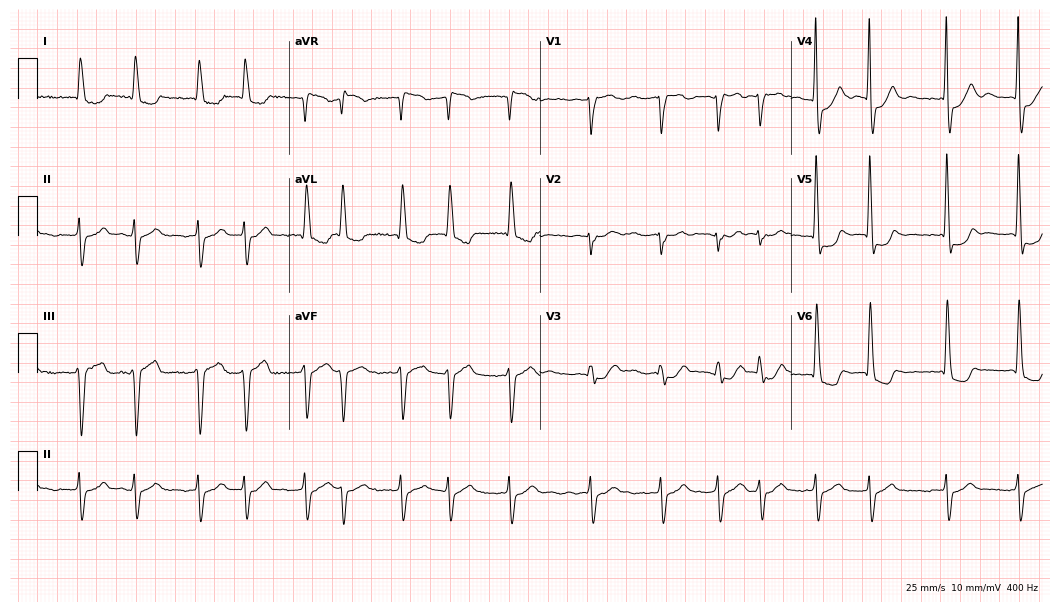
Electrocardiogram, a 78-year-old woman. Interpretation includes atrial fibrillation (AF).